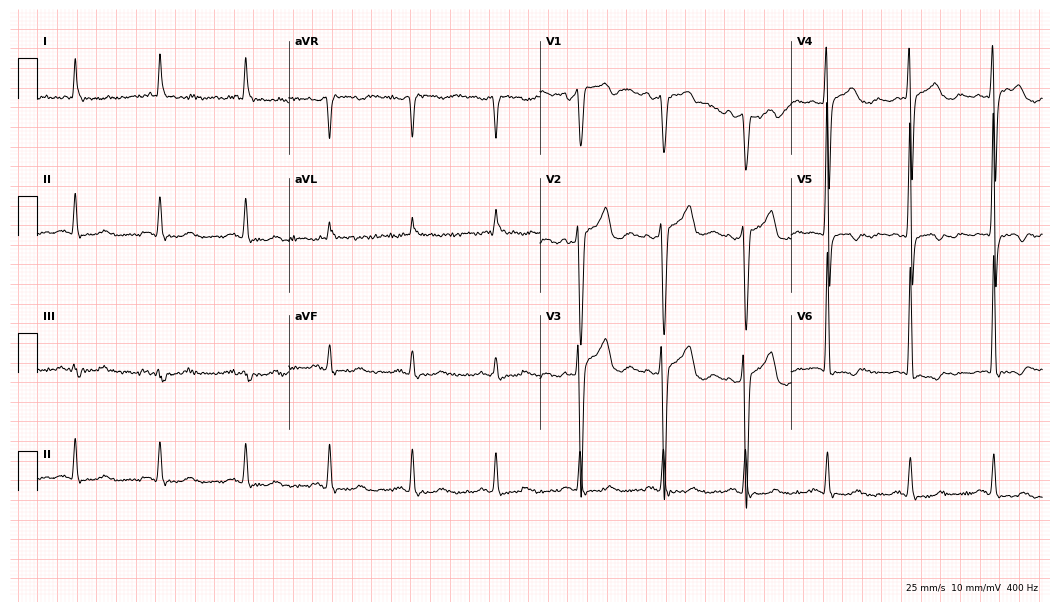
12-lead ECG from an 85-year-old male patient (10.2-second recording at 400 Hz). No first-degree AV block, right bundle branch block, left bundle branch block, sinus bradycardia, atrial fibrillation or sinus tachycardia recorded for this tracing.